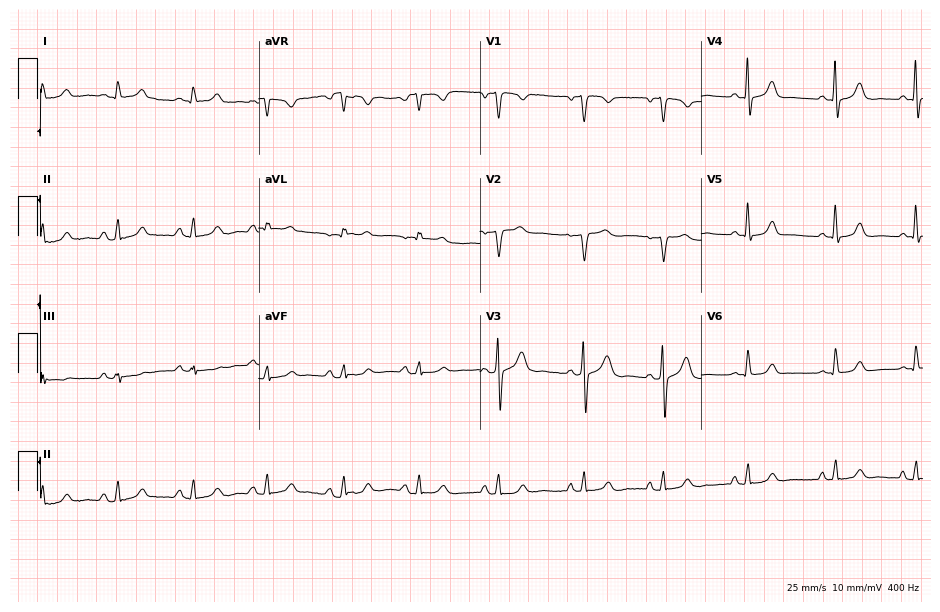
ECG — a 30-year-old female. Labelled as a normal ECG.